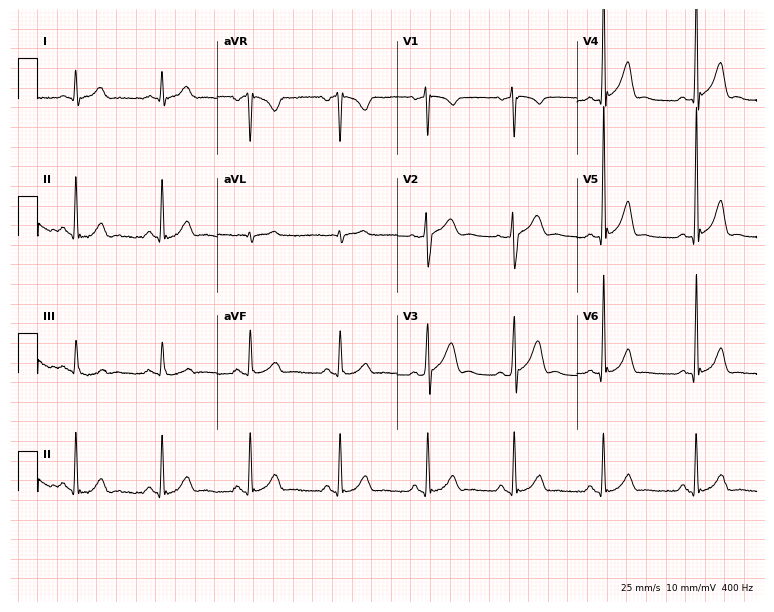
12-lead ECG (7.3-second recording at 400 Hz) from a man, 42 years old. Screened for six findings — first-degree AV block, right bundle branch block, left bundle branch block, sinus bradycardia, atrial fibrillation, sinus tachycardia — none is recorded.